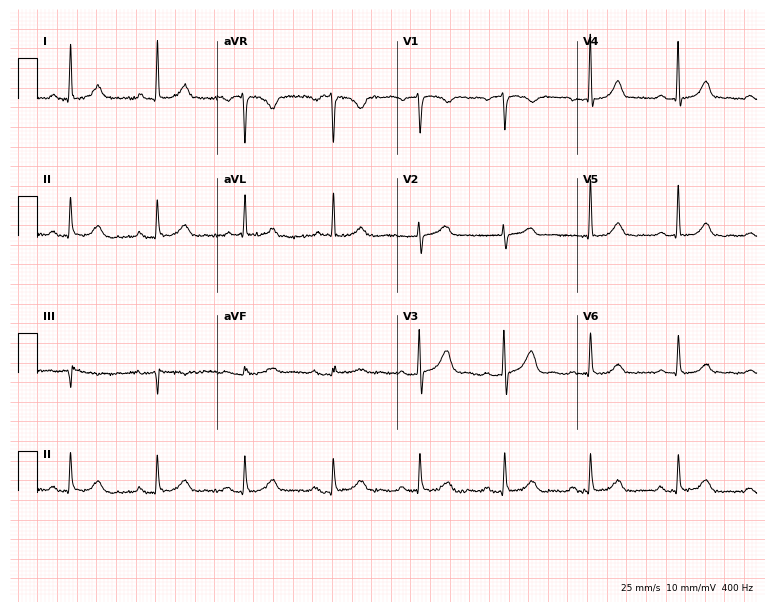
Electrocardiogram, a 73-year-old female. Of the six screened findings (first-degree AV block, right bundle branch block, left bundle branch block, sinus bradycardia, atrial fibrillation, sinus tachycardia), none is recorded.